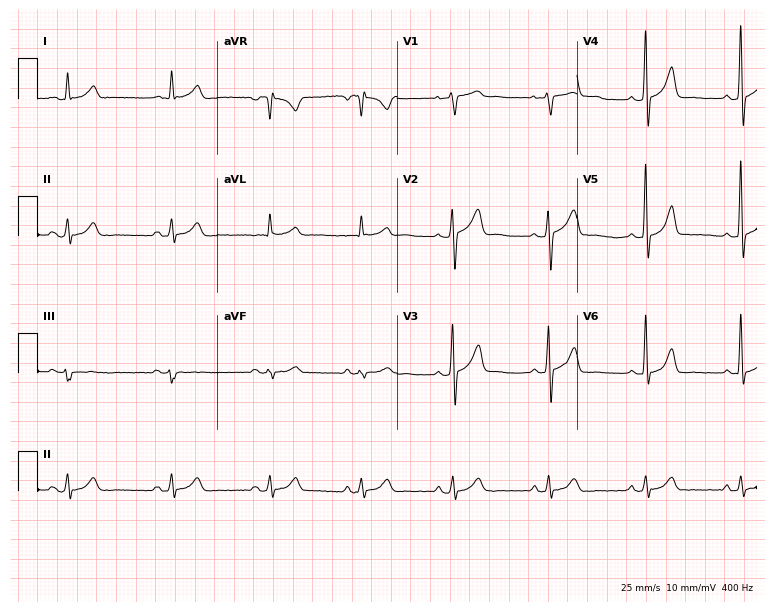
Standard 12-lead ECG recorded from a male patient, 56 years old (7.3-second recording at 400 Hz). None of these six findings is recorded: first-degree AV block, right bundle branch block (RBBB), left bundle branch block (LBBB), sinus bradycardia, atrial fibrillation (AF), sinus tachycardia.